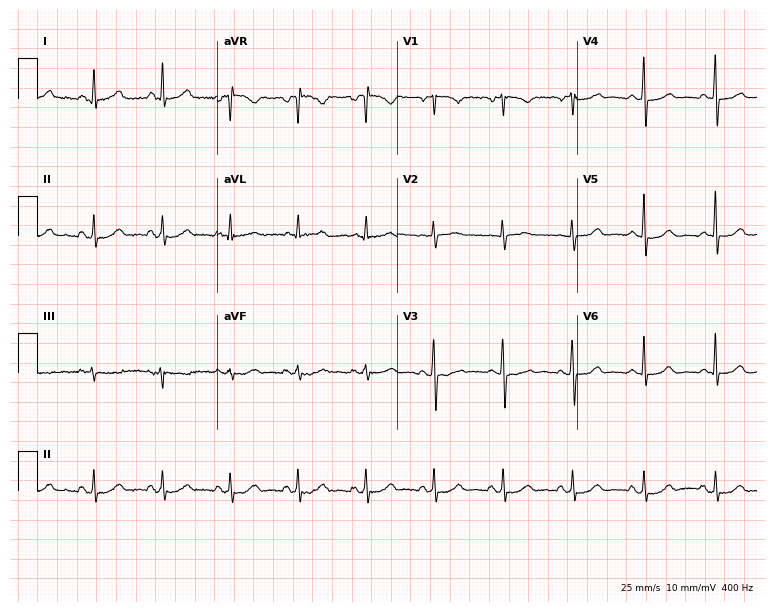
ECG (7.3-second recording at 400 Hz) — a female, 52 years old. Labelled as a normal ECG.